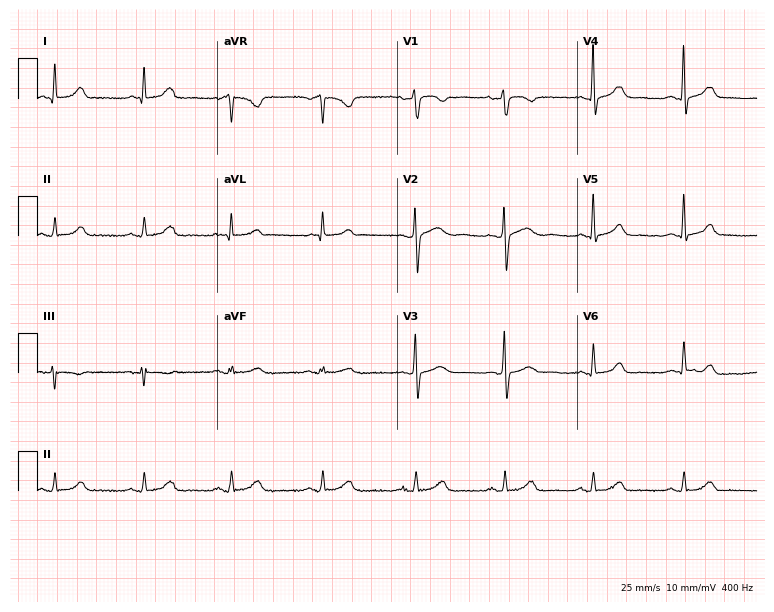
Resting 12-lead electrocardiogram (7.3-second recording at 400 Hz). Patient: a 44-year-old female. Read as a normal ECG.